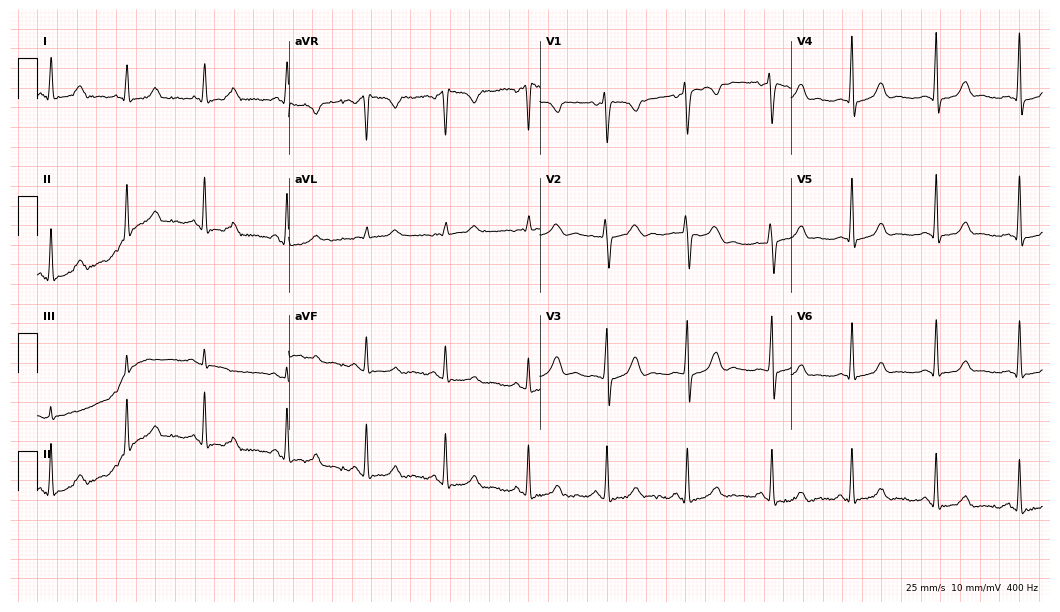
ECG — a 20-year-old female patient. Labelled as a normal ECG.